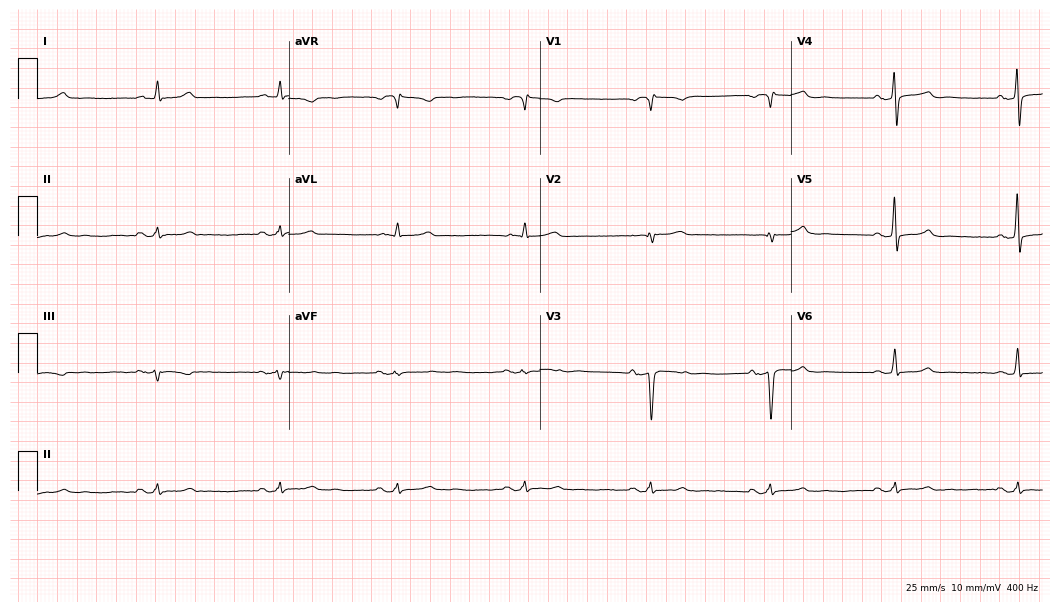
ECG — a male patient, 63 years old. Findings include sinus bradycardia (a sinus rate of 50 beats per minute or less).